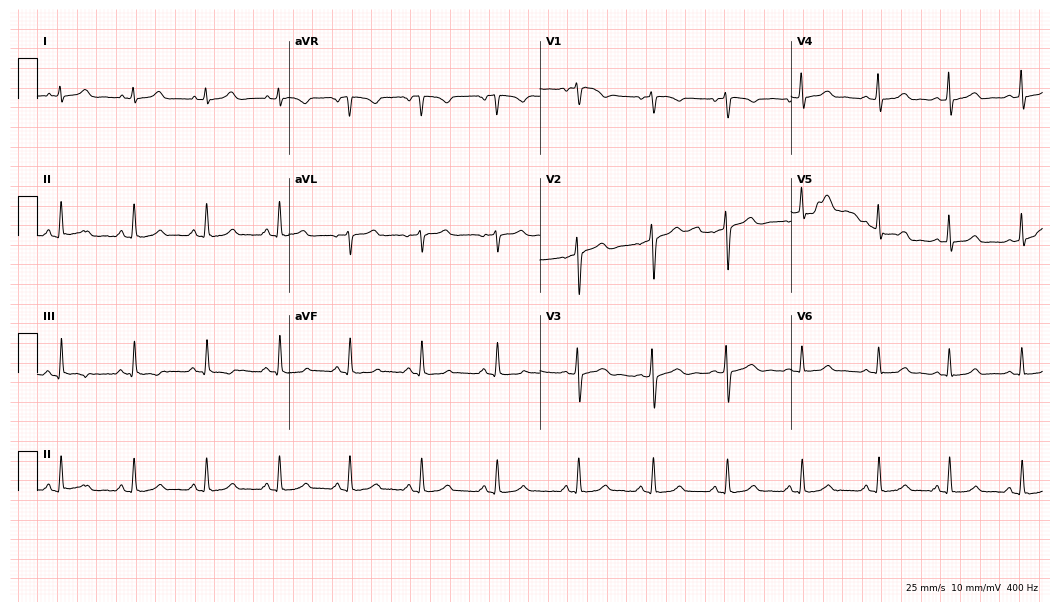
12-lead ECG from a woman, 24 years old (10.2-second recording at 400 Hz). Recorded interpretation: within normal limits.